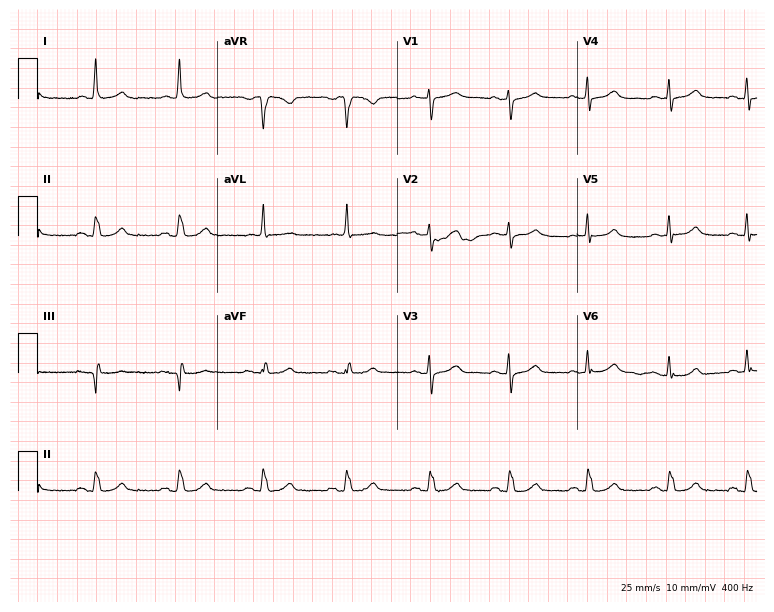
Electrocardiogram (7.3-second recording at 400 Hz), a 51-year-old female. Of the six screened findings (first-degree AV block, right bundle branch block, left bundle branch block, sinus bradycardia, atrial fibrillation, sinus tachycardia), none is recorded.